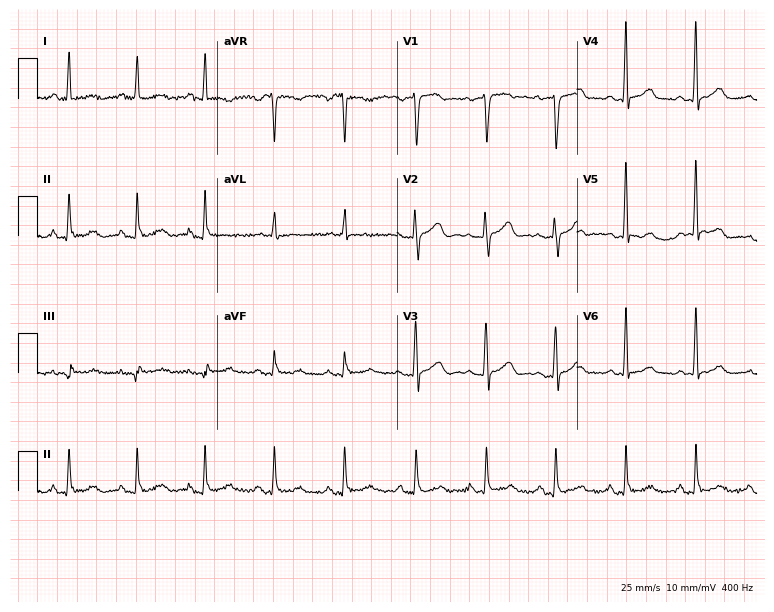
12-lead ECG from a 64-year-old female patient. Recorded interpretation: within normal limits.